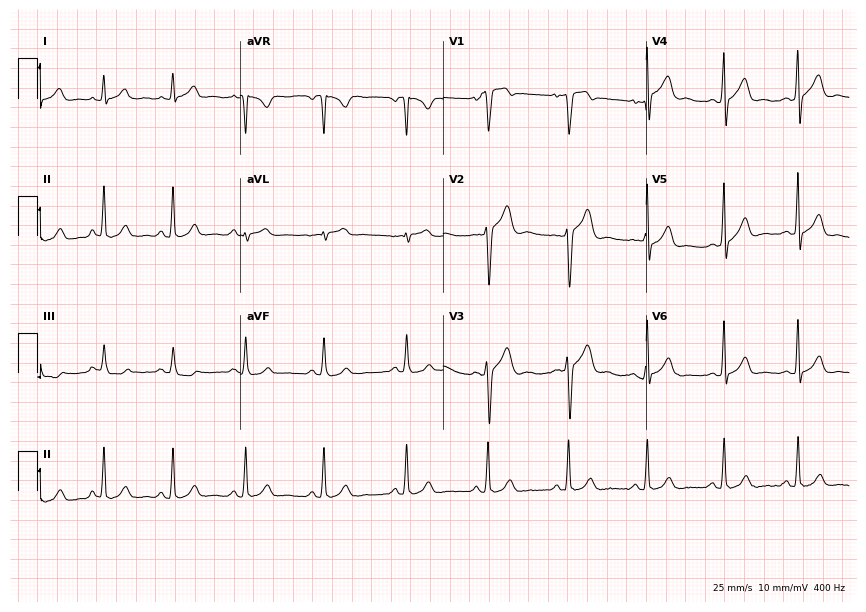
Electrocardiogram, a 30-year-old male. Overall reading on record: normal ECG.